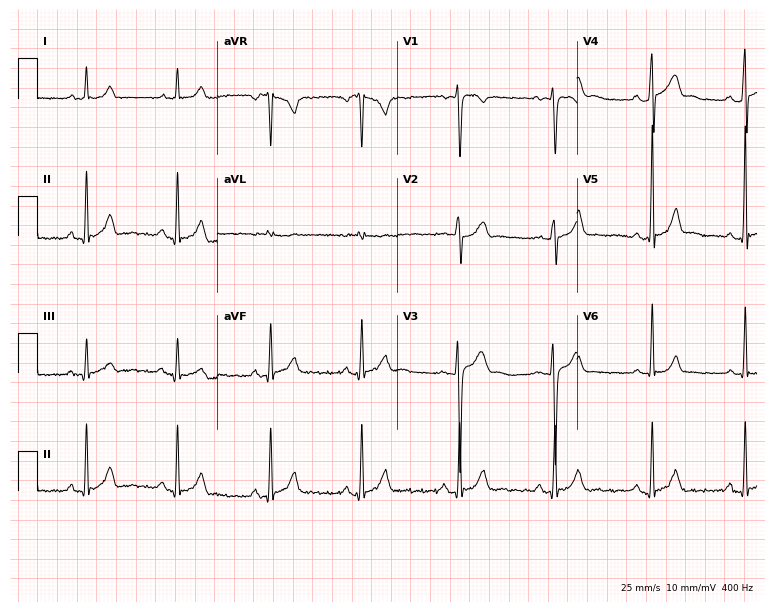
ECG (7.3-second recording at 400 Hz) — a male patient, 18 years old. Labelled as a normal ECG.